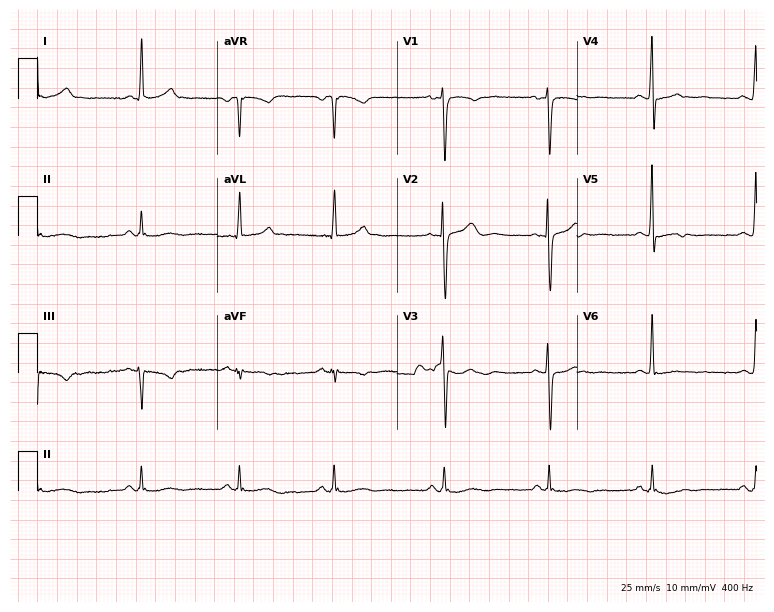
Resting 12-lead electrocardiogram (7.3-second recording at 400 Hz). Patient: a male, 41 years old. None of these six findings is recorded: first-degree AV block, right bundle branch block, left bundle branch block, sinus bradycardia, atrial fibrillation, sinus tachycardia.